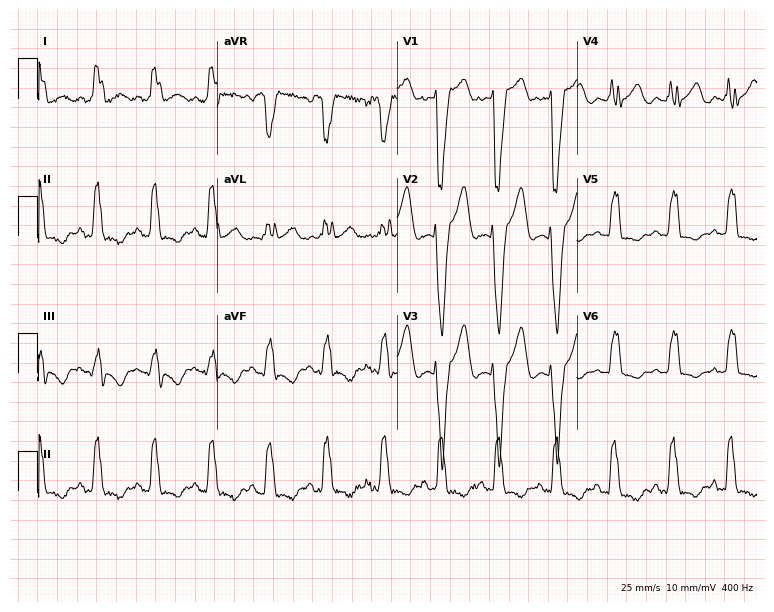
Resting 12-lead electrocardiogram (7.3-second recording at 400 Hz). Patient: a woman, 55 years old. The tracing shows left bundle branch block (LBBB), sinus tachycardia (a sinus rate of 100 beats per minute or more).